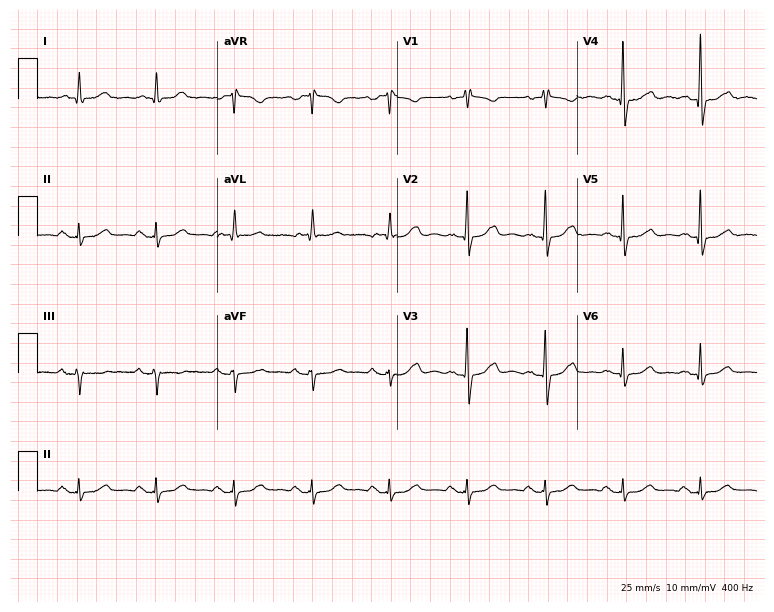
Standard 12-lead ECG recorded from a 76-year-old woman (7.3-second recording at 400 Hz). Read as a normal ECG.